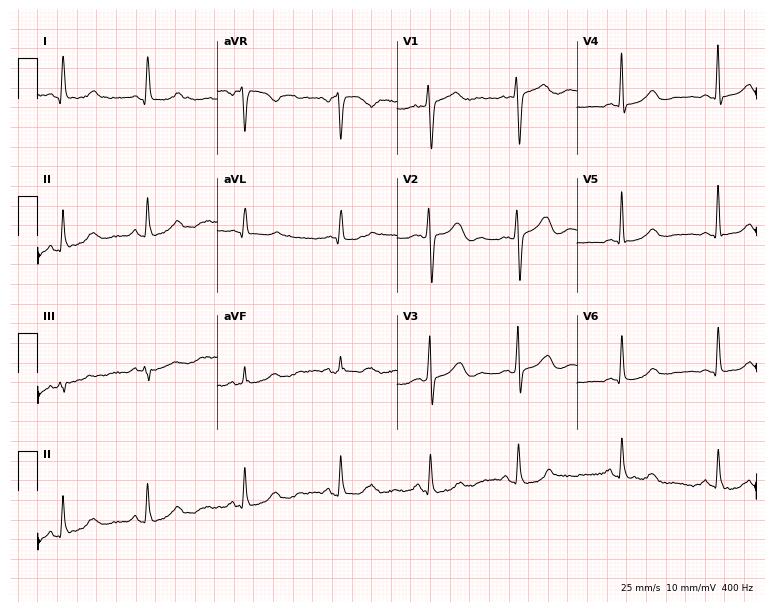
Standard 12-lead ECG recorded from a woman, 53 years old. None of these six findings is recorded: first-degree AV block, right bundle branch block, left bundle branch block, sinus bradycardia, atrial fibrillation, sinus tachycardia.